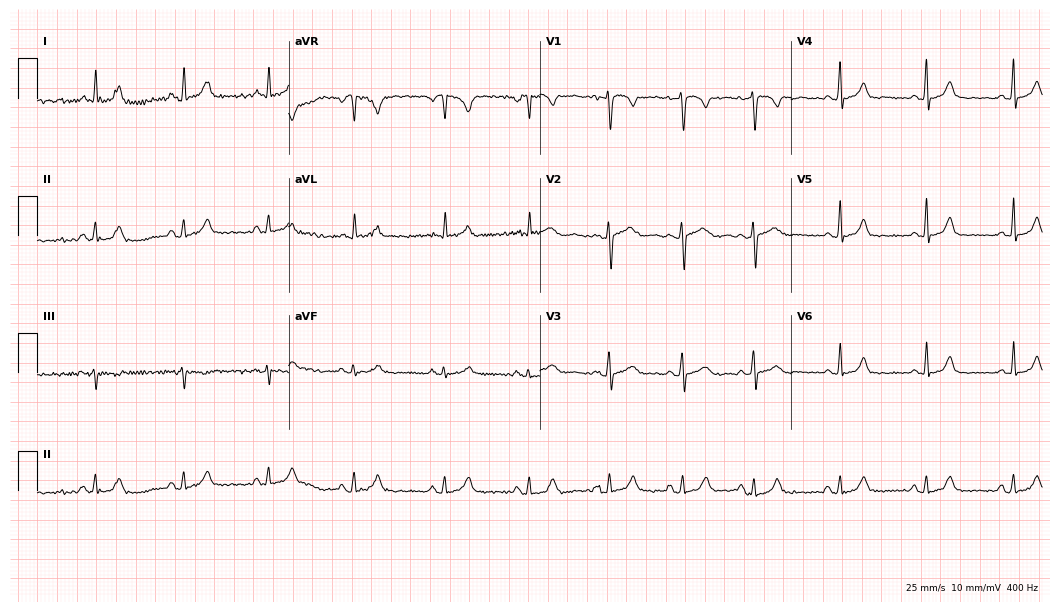
Standard 12-lead ECG recorded from a 31-year-old woman (10.2-second recording at 400 Hz). Read as a normal ECG.